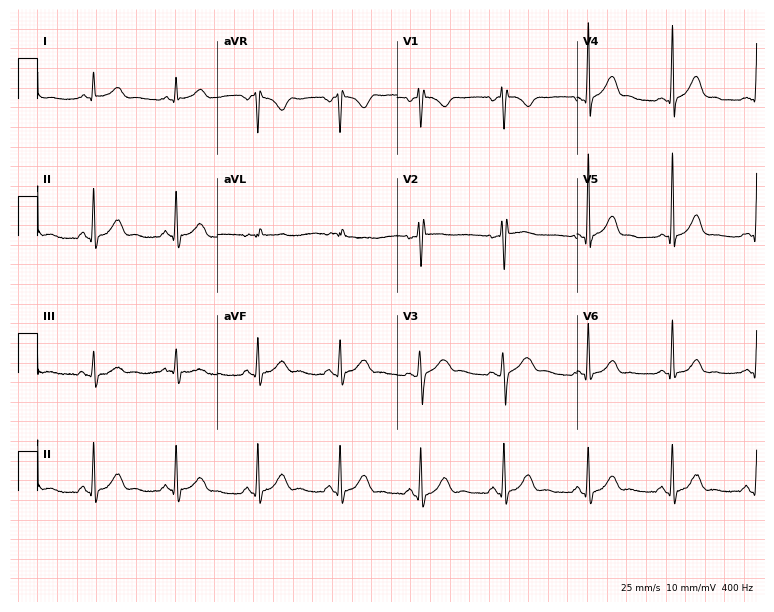
Standard 12-lead ECG recorded from a female patient, 19 years old (7.3-second recording at 400 Hz). Read as a normal ECG.